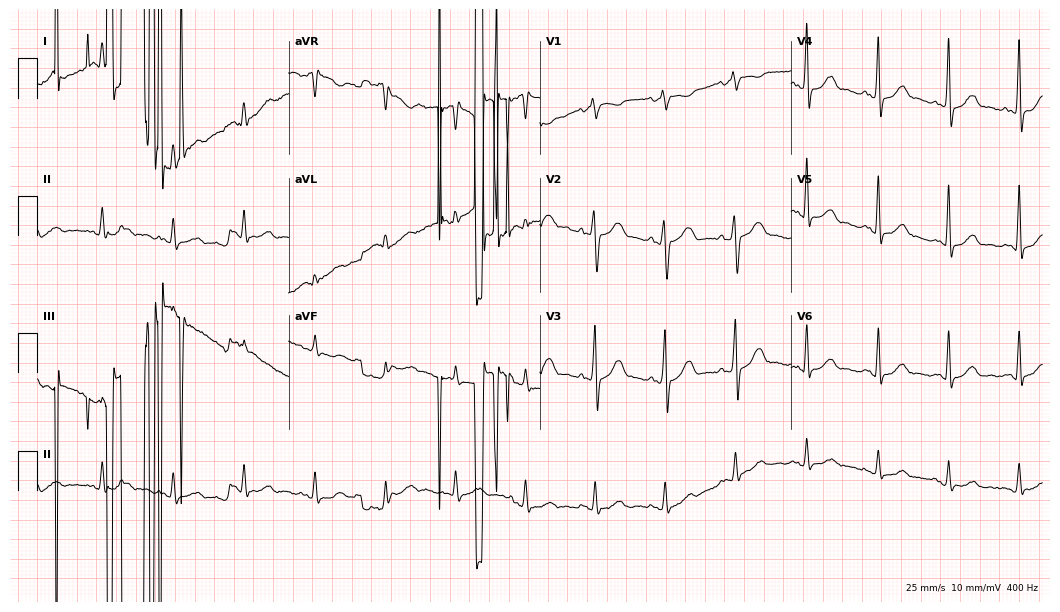
Electrocardiogram (10.2-second recording at 400 Hz), a male patient, 54 years old. Of the six screened findings (first-degree AV block, right bundle branch block, left bundle branch block, sinus bradycardia, atrial fibrillation, sinus tachycardia), none is recorded. Other findings, if any, are not listed.